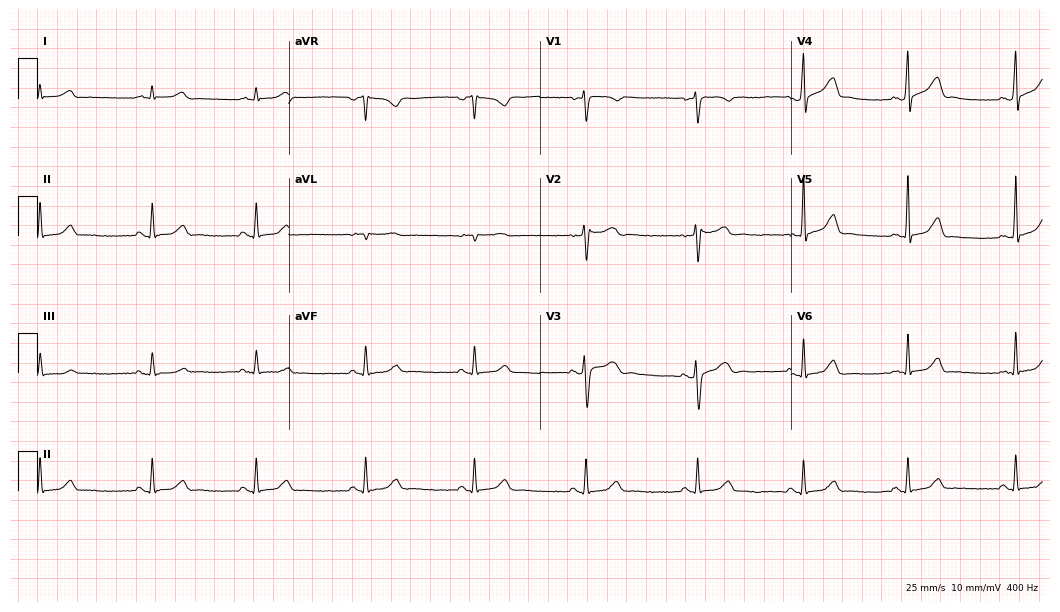
Standard 12-lead ECG recorded from a man, 35 years old. Read as a normal ECG.